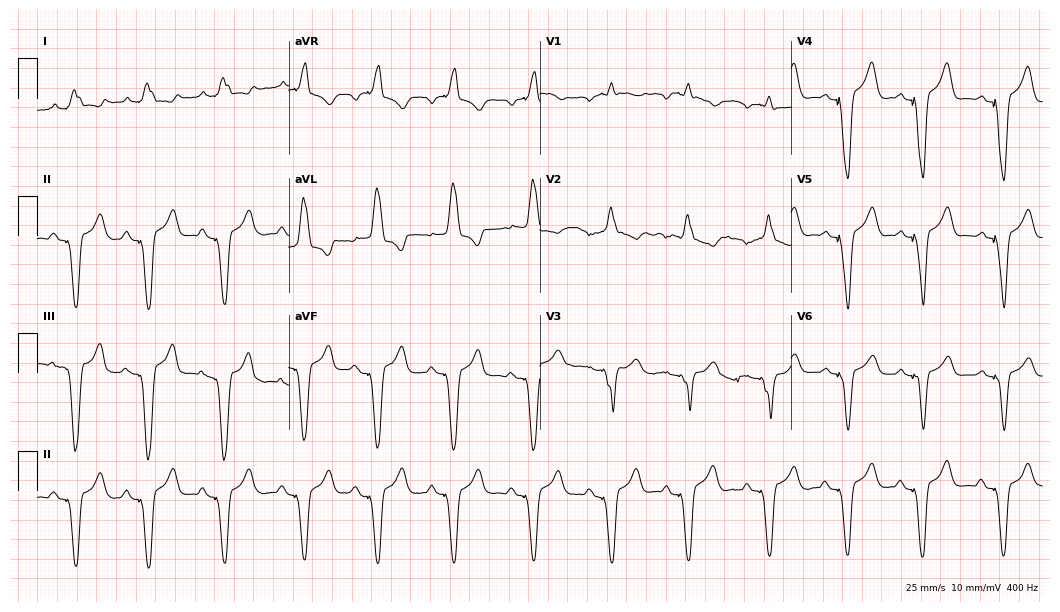
Electrocardiogram, an 82-year-old female. Of the six screened findings (first-degree AV block, right bundle branch block, left bundle branch block, sinus bradycardia, atrial fibrillation, sinus tachycardia), none is recorded.